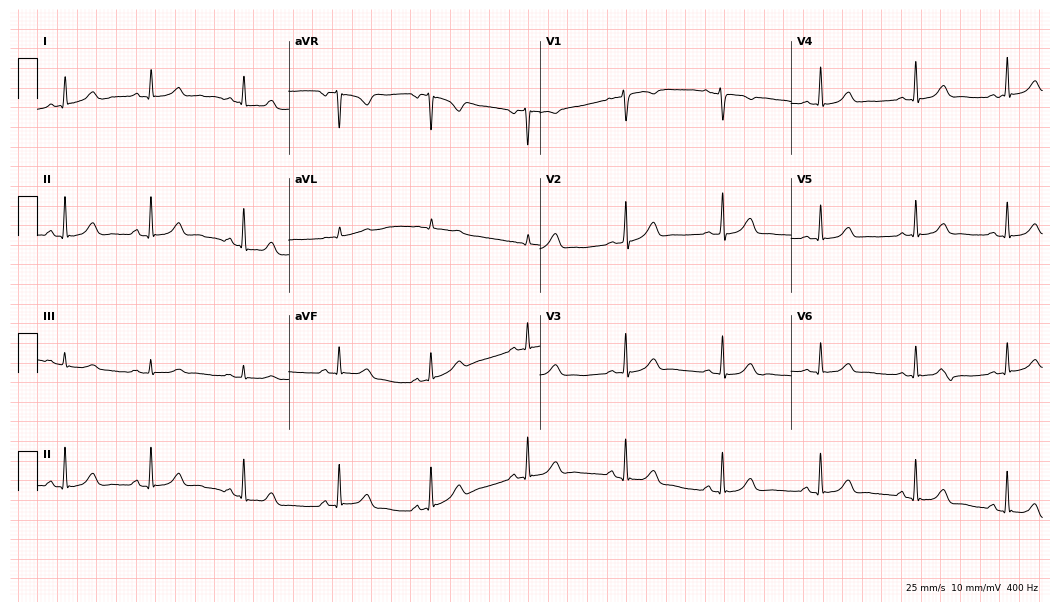
12-lead ECG from a female, 32 years old. Labelled as a normal ECG.